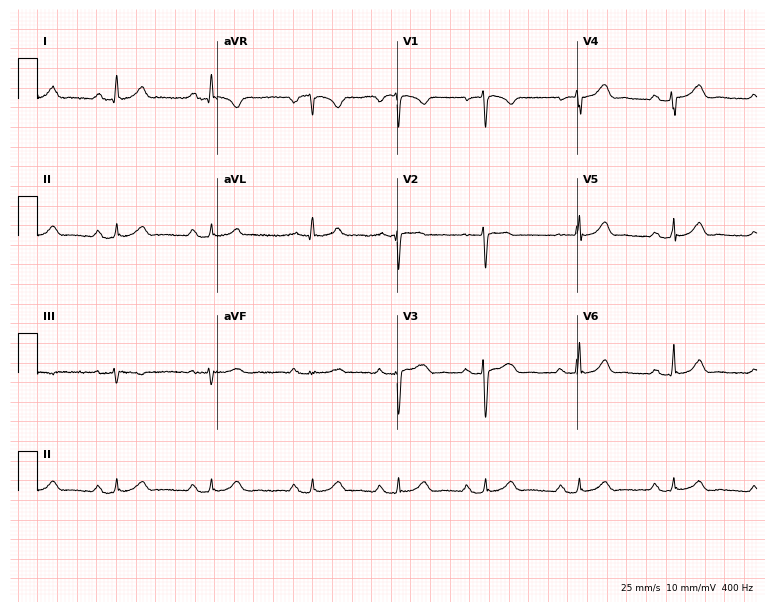
Electrocardiogram (7.3-second recording at 400 Hz), a female, 35 years old. Overall reading on record: normal ECG.